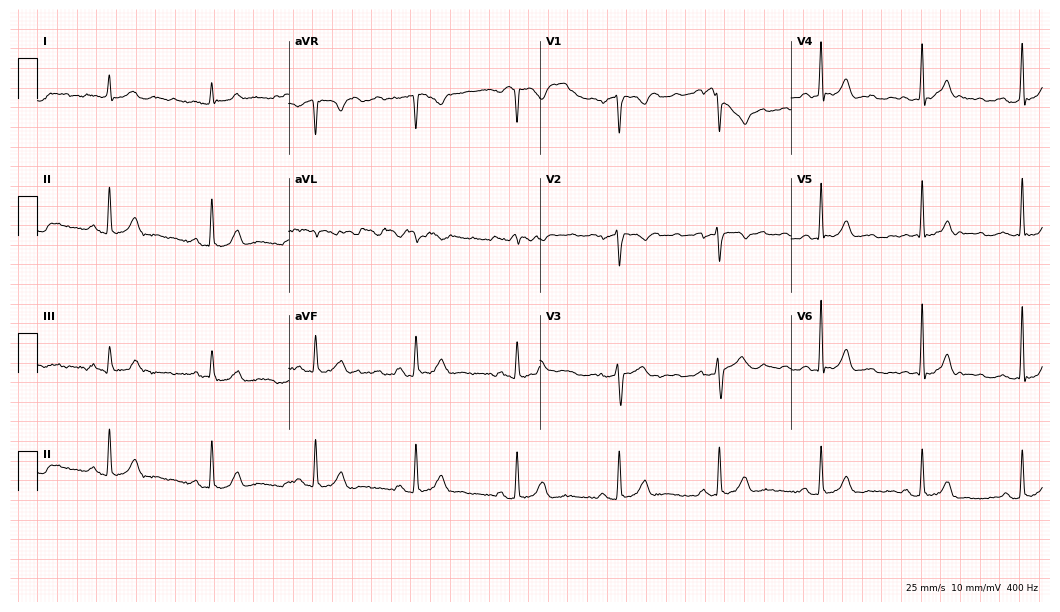
12-lead ECG from a 67-year-old male patient (10.2-second recording at 400 Hz). Recorded interpretation: within normal limits.